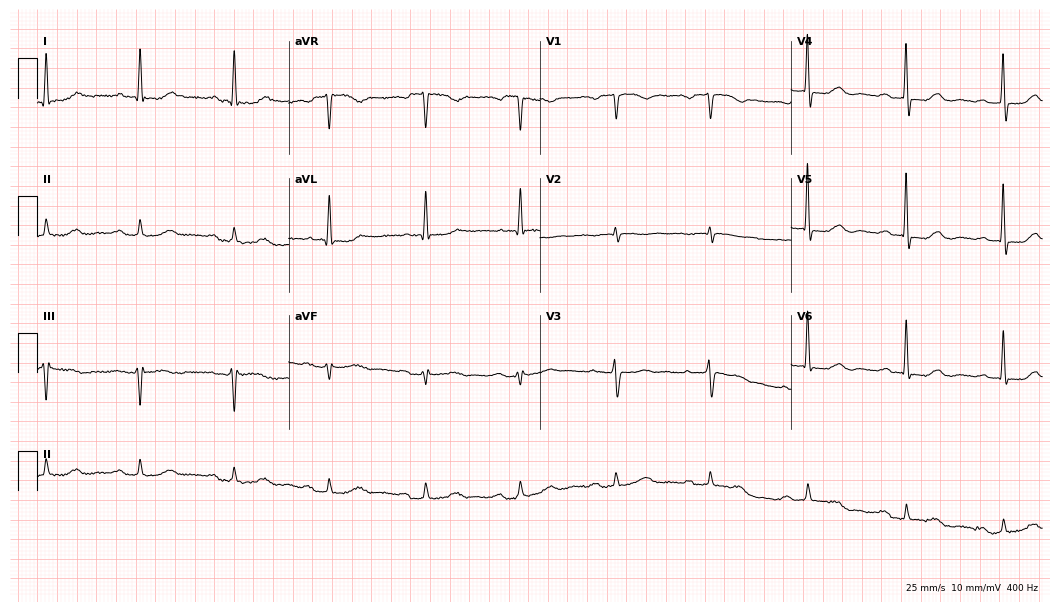
Resting 12-lead electrocardiogram (10.2-second recording at 400 Hz). Patient: a 67-year-old female. The tracing shows first-degree AV block.